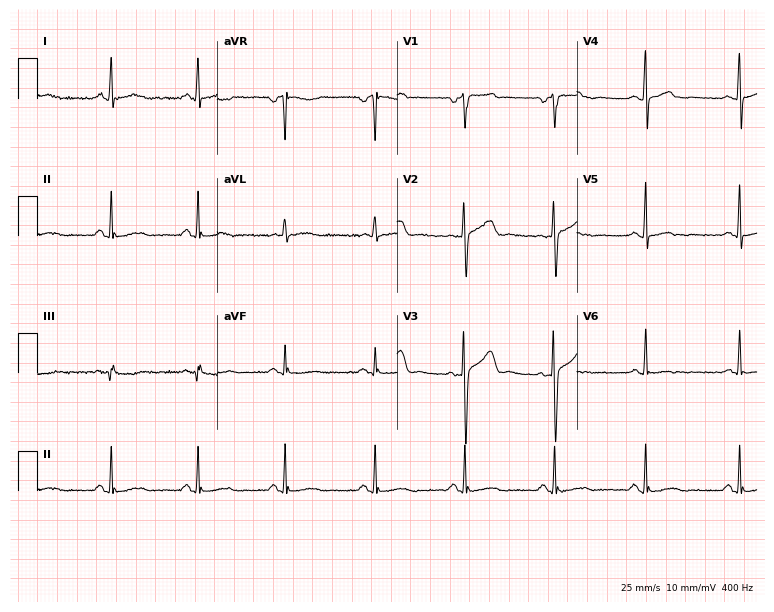
12-lead ECG from a female patient, 60 years old. Screened for six findings — first-degree AV block, right bundle branch block (RBBB), left bundle branch block (LBBB), sinus bradycardia, atrial fibrillation (AF), sinus tachycardia — none is recorded. Other findings, if any, are not listed.